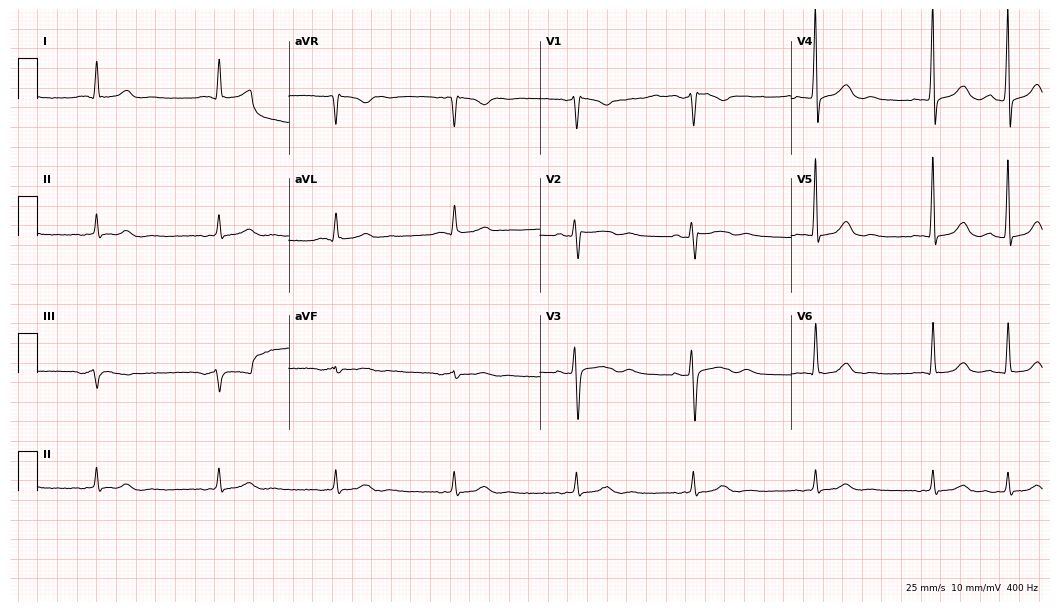
12-lead ECG from a woman, 55 years old. Findings include sinus bradycardia (a sinus rate of 50 beats per minute or less).